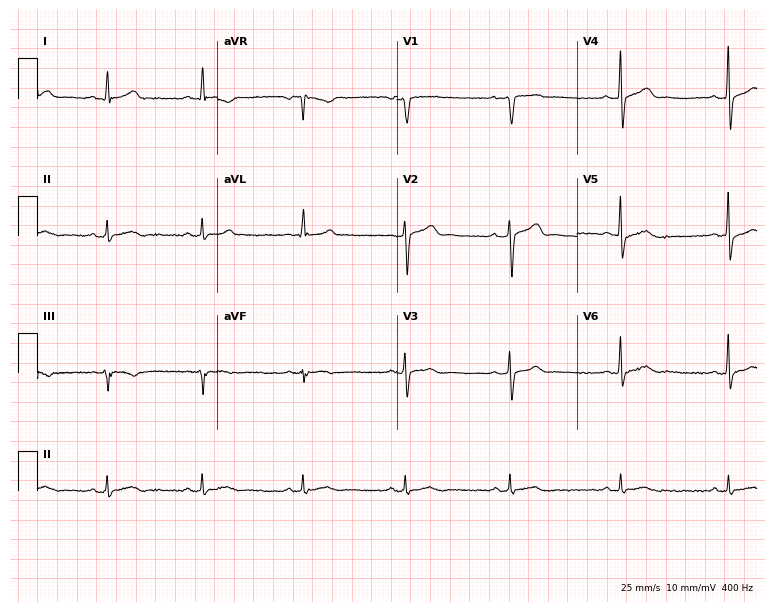
Standard 12-lead ECG recorded from a 52-year-old male (7.3-second recording at 400 Hz). Read as a normal ECG.